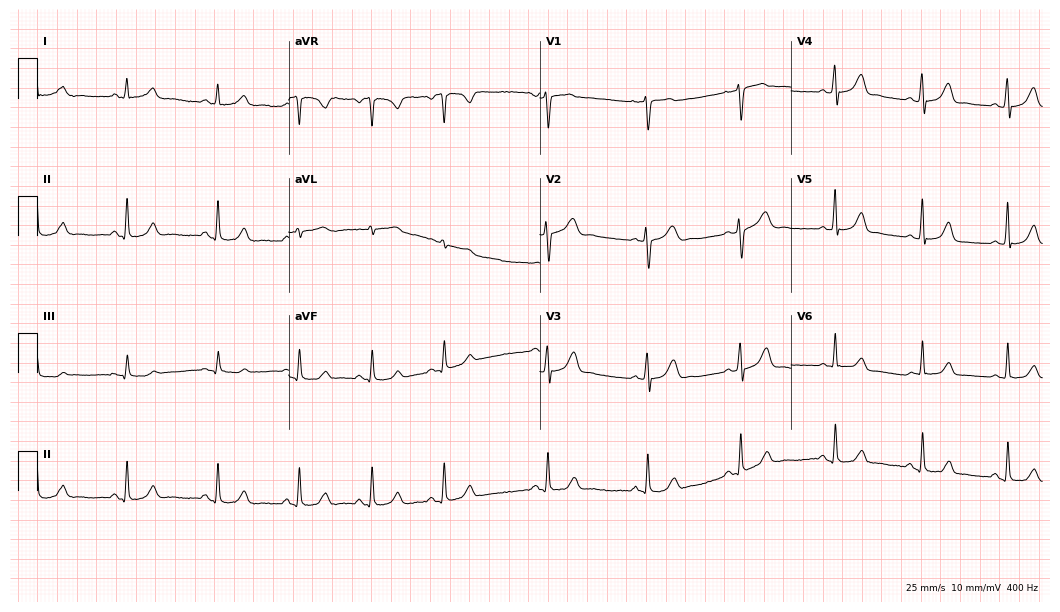
Electrocardiogram, a female, 31 years old. Of the six screened findings (first-degree AV block, right bundle branch block, left bundle branch block, sinus bradycardia, atrial fibrillation, sinus tachycardia), none is recorded.